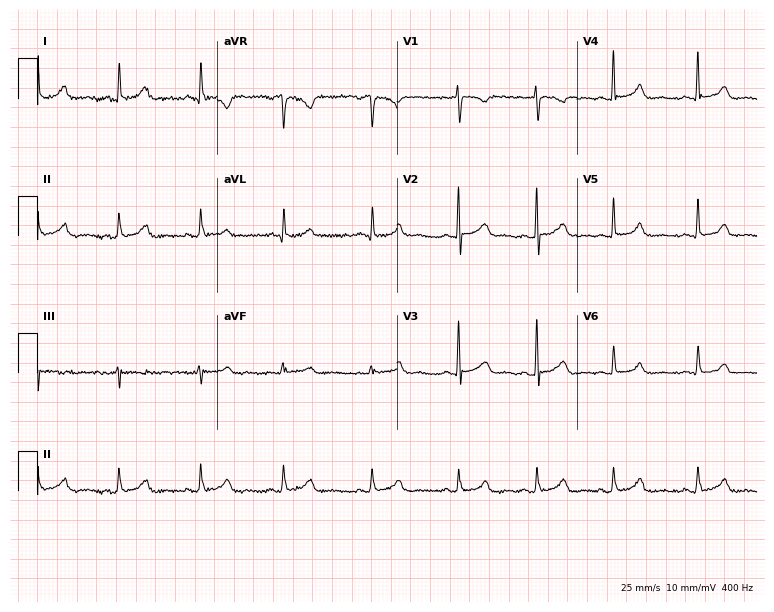
Standard 12-lead ECG recorded from a 69-year-old woman (7.3-second recording at 400 Hz). None of these six findings is recorded: first-degree AV block, right bundle branch block (RBBB), left bundle branch block (LBBB), sinus bradycardia, atrial fibrillation (AF), sinus tachycardia.